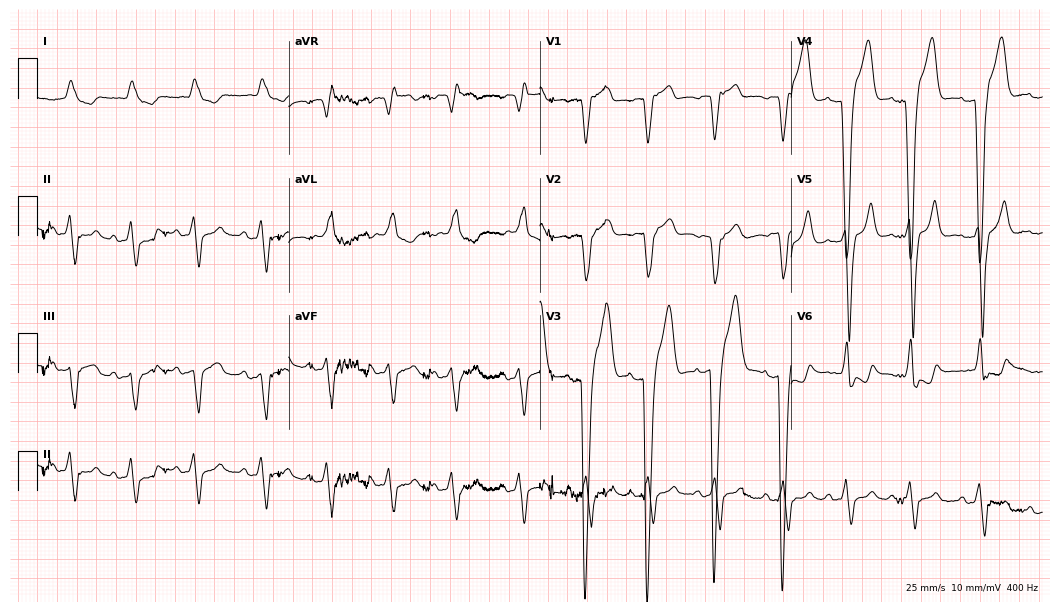
12-lead ECG from an 83-year-old male patient. Screened for six findings — first-degree AV block, right bundle branch block (RBBB), left bundle branch block (LBBB), sinus bradycardia, atrial fibrillation (AF), sinus tachycardia — none is recorded.